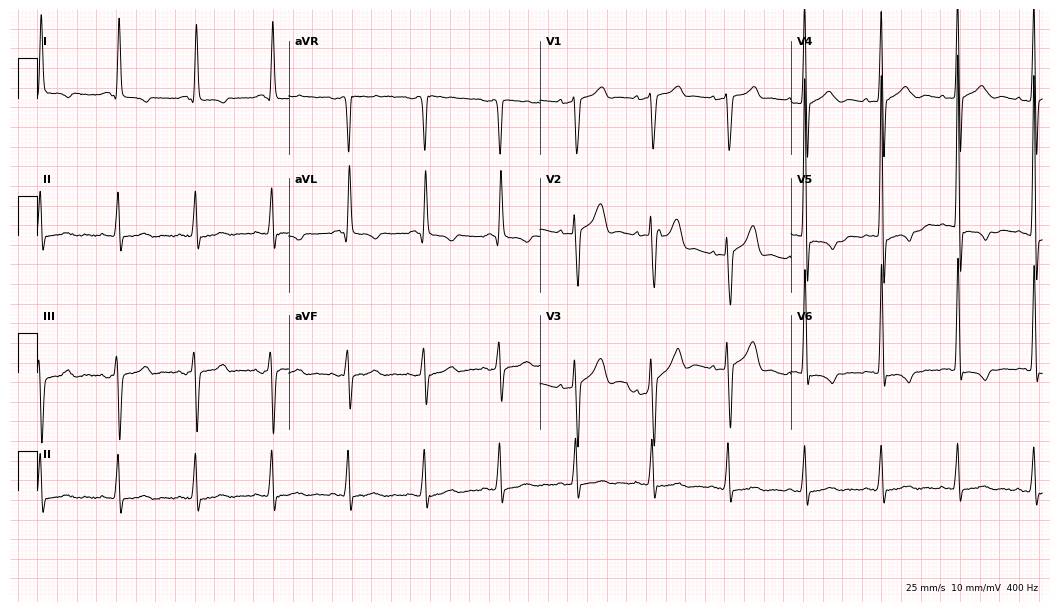
12-lead ECG from a 66-year-old man. Screened for six findings — first-degree AV block, right bundle branch block, left bundle branch block, sinus bradycardia, atrial fibrillation, sinus tachycardia — none is recorded.